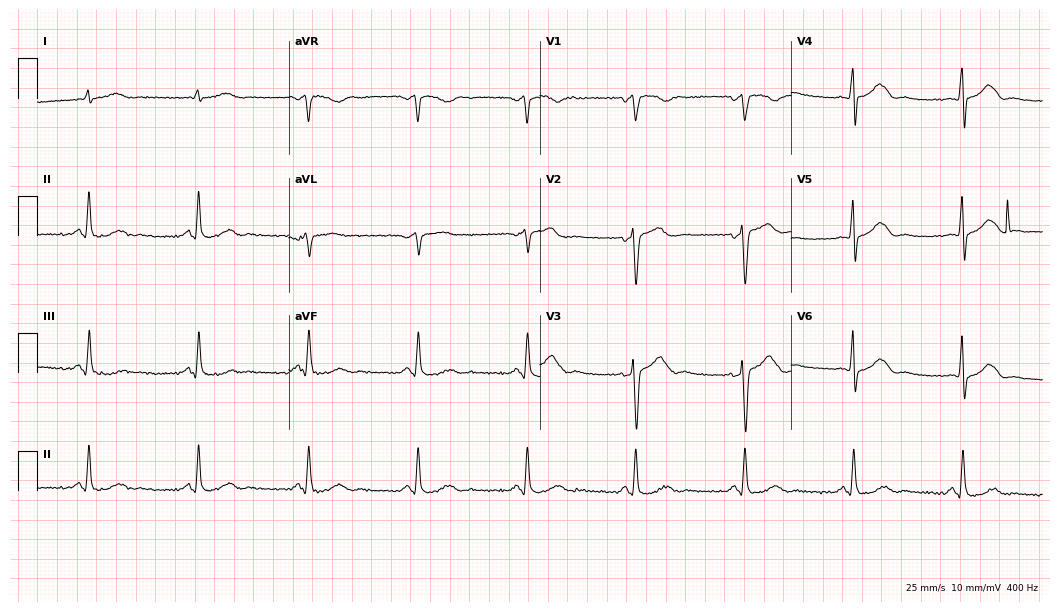
ECG (10.2-second recording at 400 Hz) — a female, 81 years old. Labelled as a normal ECG.